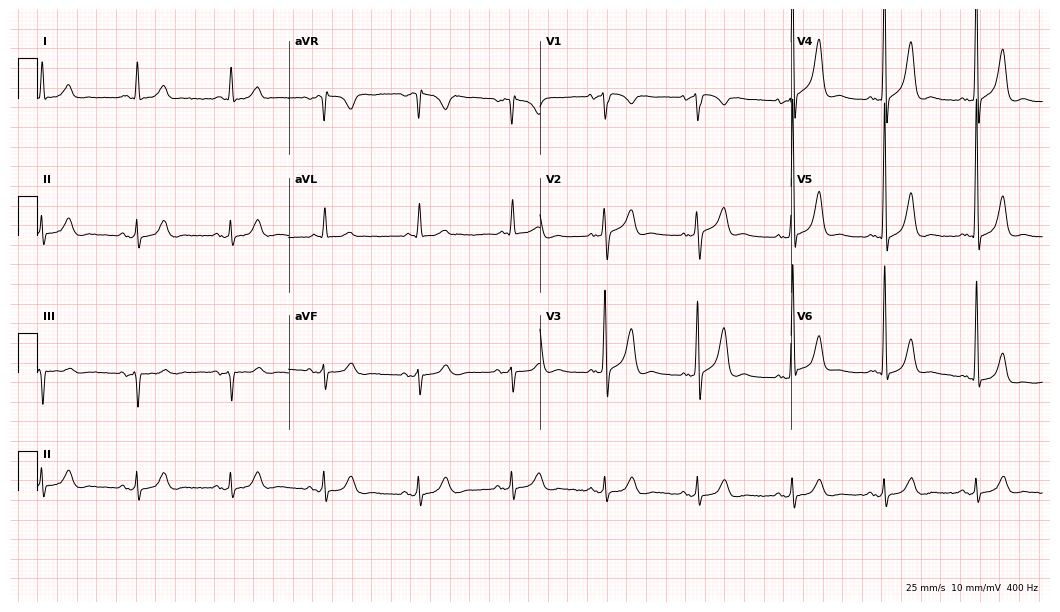
12-lead ECG (10.2-second recording at 400 Hz) from a 72-year-old man. Screened for six findings — first-degree AV block, right bundle branch block, left bundle branch block, sinus bradycardia, atrial fibrillation, sinus tachycardia — none is recorded.